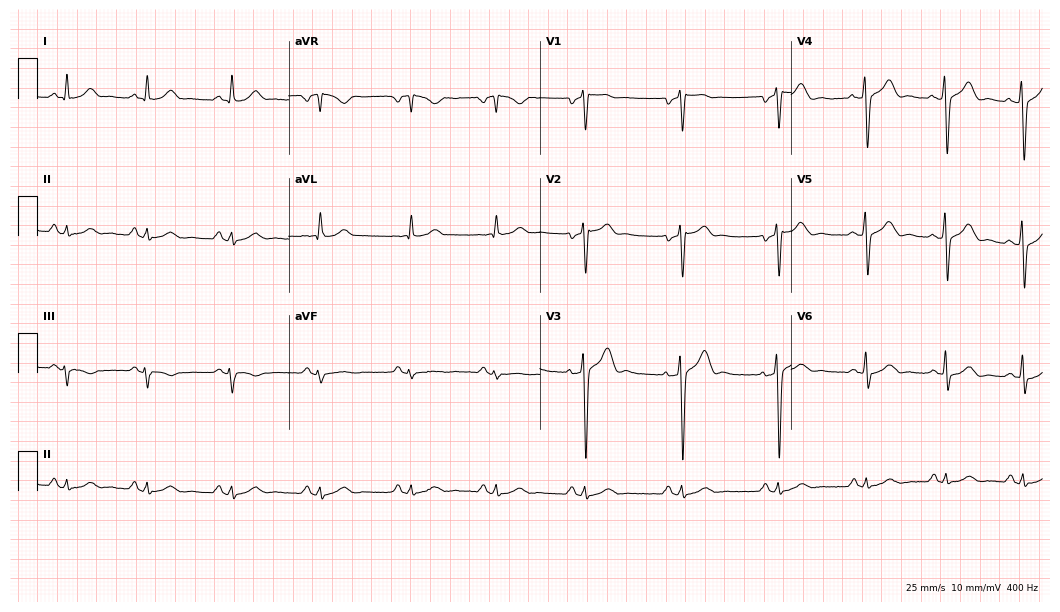
Resting 12-lead electrocardiogram. Patient: a 41-year-old male. Read as a normal ECG.